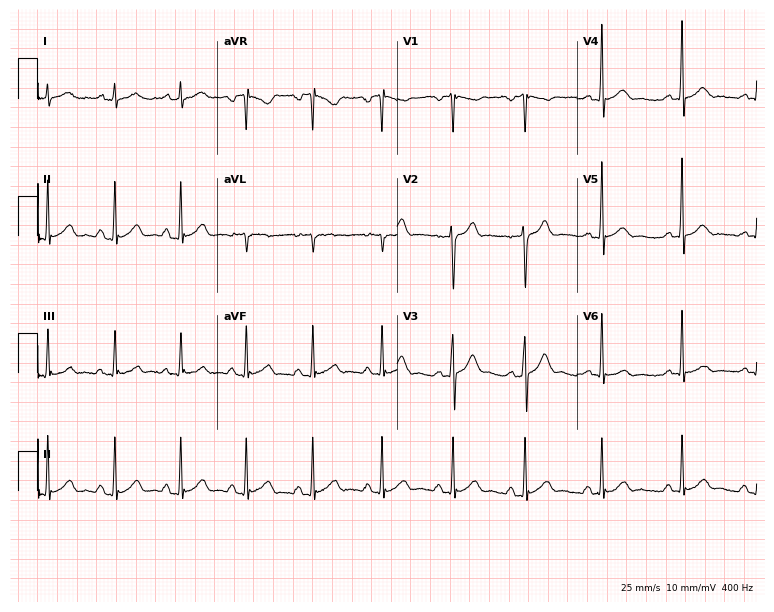
12-lead ECG from a 26-year-old male. Labelled as a normal ECG.